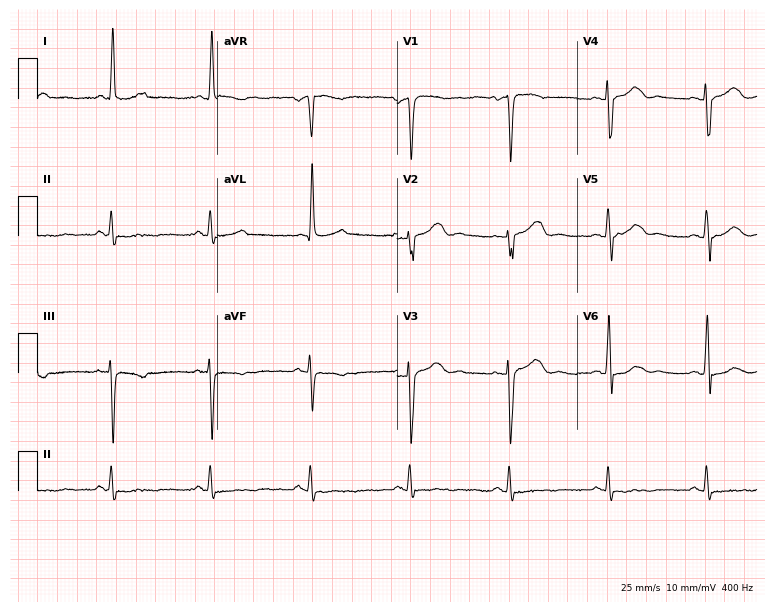
Resting 12-lead electrocardiogram (7.3-second recording at 400 Hz). Patient: a 73-year-old woman. None of these six findings is recorded: first-degree AV block, right bundle branch block, left bundle branch block, sinus bradycardia, atrial fibrillation, sinus tachycardia. Findings outside these six are not listed.